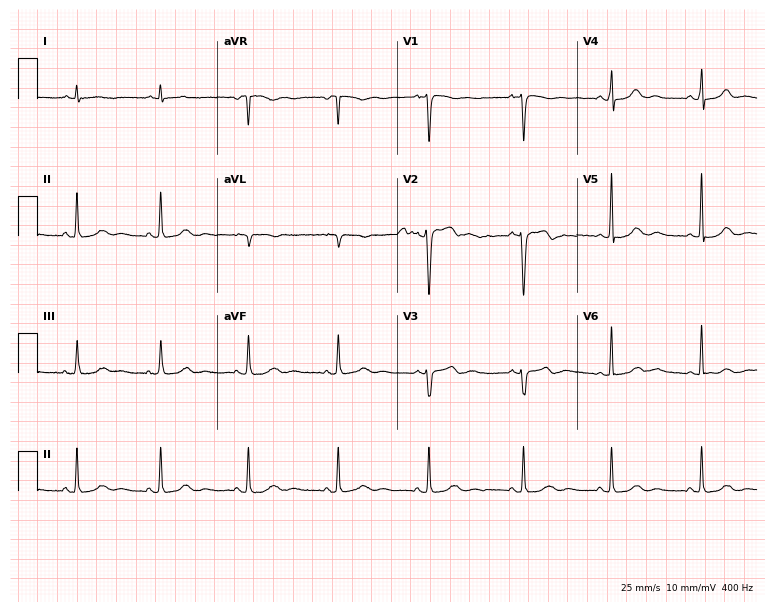
ECG (7.3-second recording at 400 Hz) — a woman, 45 years old. Labelled as a normal ECG.